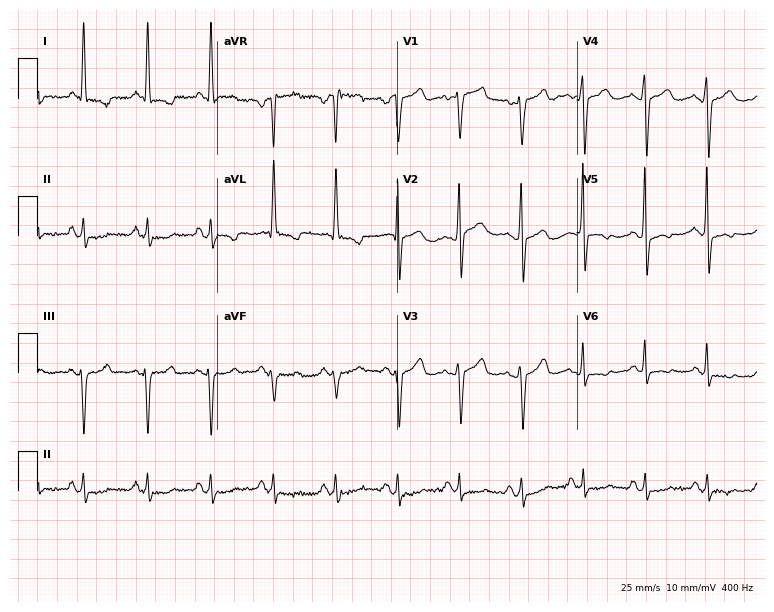
12-lead ECG from a 64-year-old female. No first-degree AV block, right bundle branch block, left bundle branch block, sinus bradycardia, atrial fibrillation or sinus tachycardia recorded for this tracing. Findings outside these six are not listed.